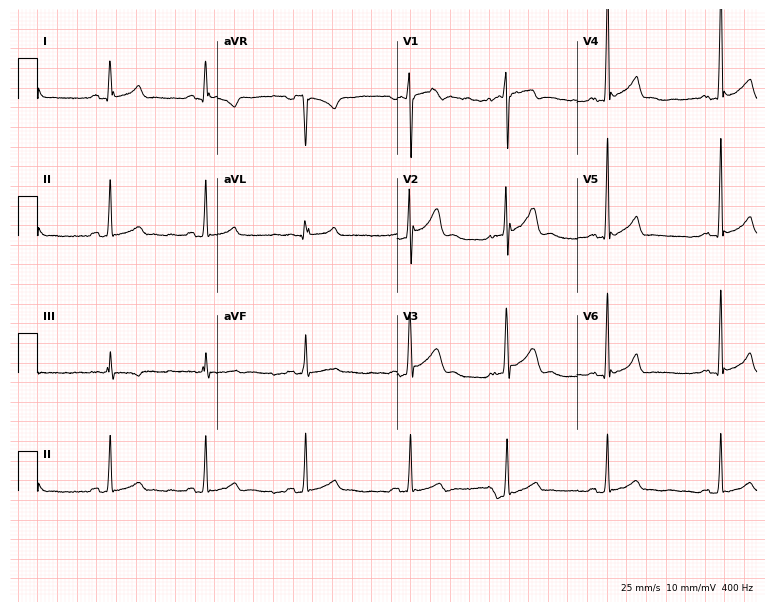
Standard 12-lead ECG recorded from a 32-year-old male. None of these six findings is recorded: first-degree AV block, right bundle branch block, left bundle branch block, sinus bradycardia, atrial fibrillation, sinus tachycardia.